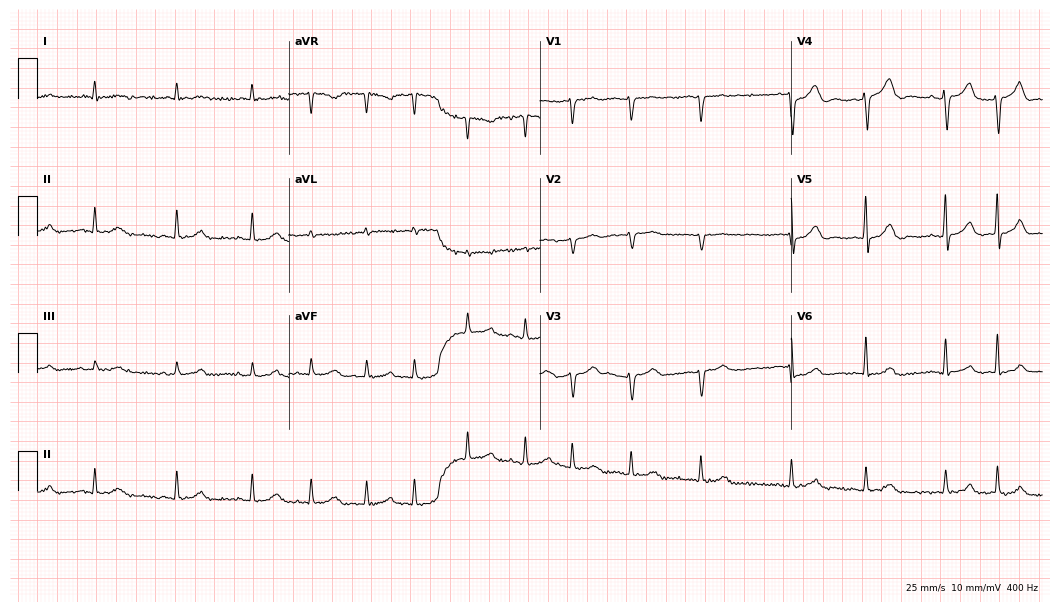
Resting 12-lead electrocardiogram. Patient: a male, 79 years old. The tracing shows atrial fibrillation.